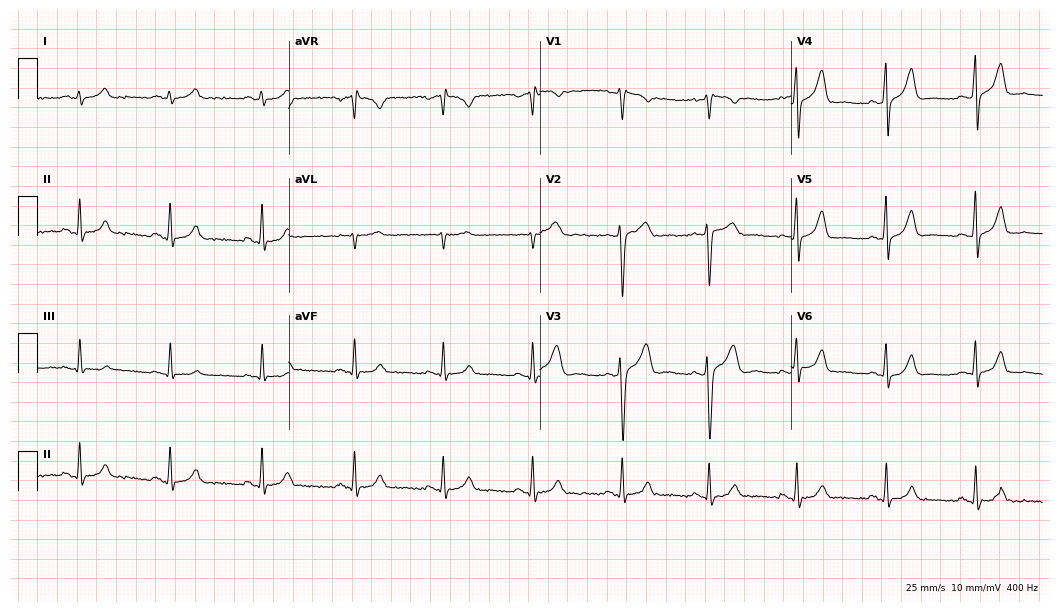
12-lead ECG from a 45-year-old man. No first-degree AV block, right bundle branch block (RBBB), left bundle branch block (LBBB), sinus bradycardia, atrial fibrillation (AF) or sinus tachycardia recorded for this tracing.